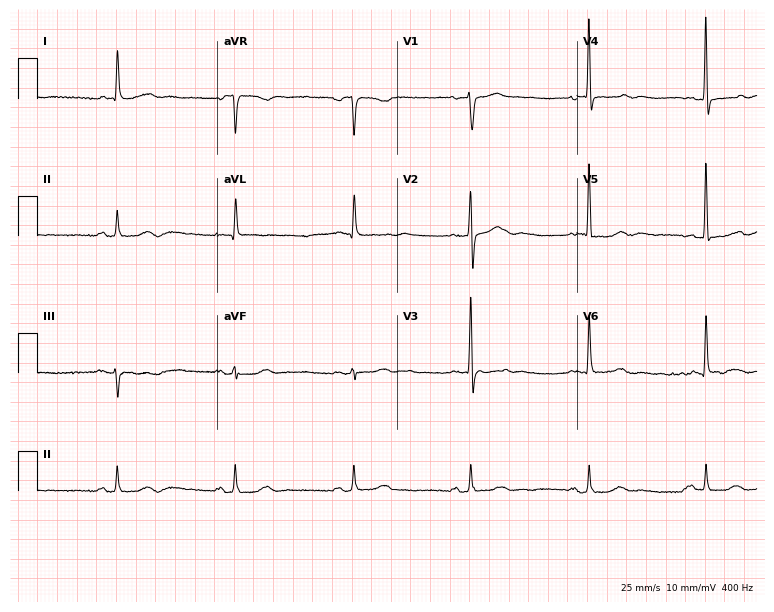
ECG — a woman, 59 years old. Screened for six findings — first-degree AV block, right bundle branch block (RBBB), left bundle branch block (LBBB), sinus bradycardia, atrial fibrillation (AF), sinus tachycardia — none is recorded.